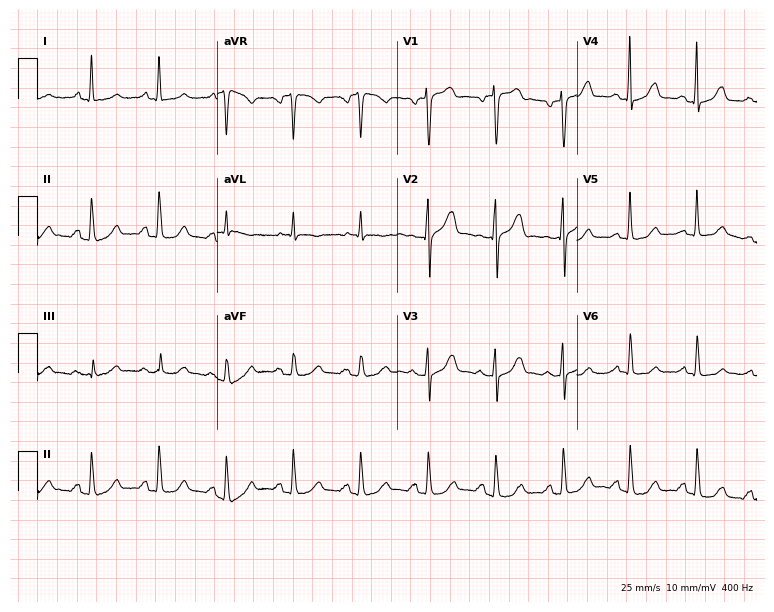
12-lead ECG (7.3-second recording at 400 Hz) from a female, 79 years old. Labelled as a normal ECG.